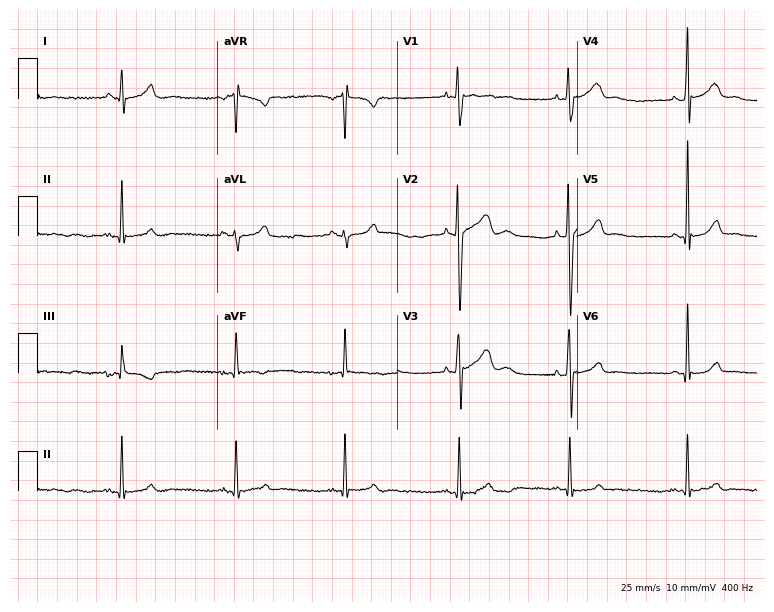
Standard 12-lead ECG recorded from a 21-year-old male (7.3-second recording at 400 Hz). None of these six findings is recorded: first-degree AV block, right bundle branch block, left bundle branch block, sinus bradycardia, atrial fibrillation, sinus tachycardia.